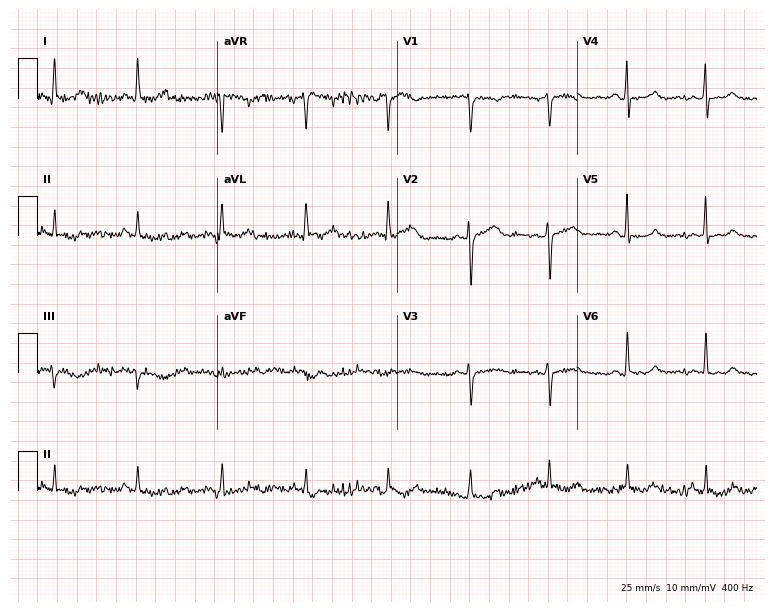
Electrocardiogram (7.3-second recording at 400 Hz), a 65-year-old woman. Of the six screened findings (first-degree AV block, right bundle branch block (RBBB), left bundle branch block (LBBB), sinus bradycardia, atrial fibrillation (AF), sinus tachycardia), none is recorded. Other findings, if any, are not listed.